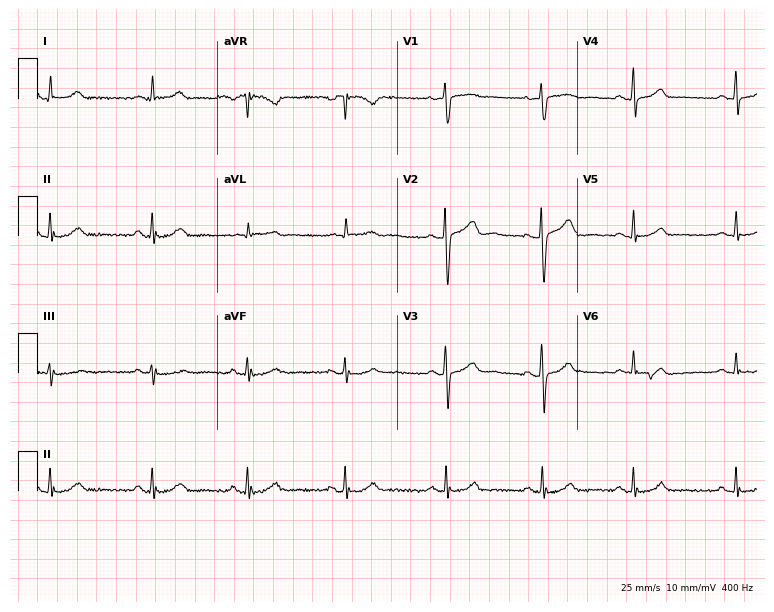
Standard 12-lead ECG recorded from a woman, 45 years old. Read as a normal ECG.